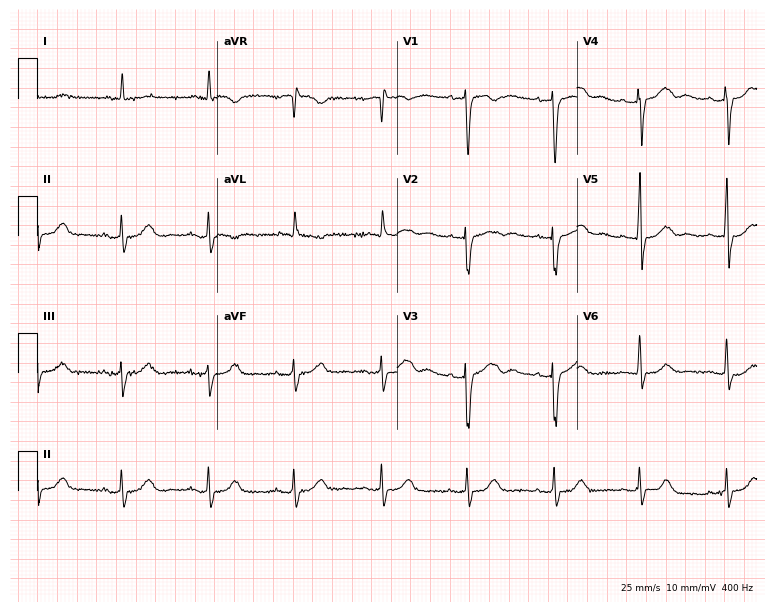
Standard 12-lead ECG recorded from a male patient, 85 years old (7.3-second recording at 400 Hz). None of these six findings is recorded: first-degree AV block, right bundle branch block, left bundle branch block, sinus bradycardia, atrial fibrillation, sinus tachycardia.